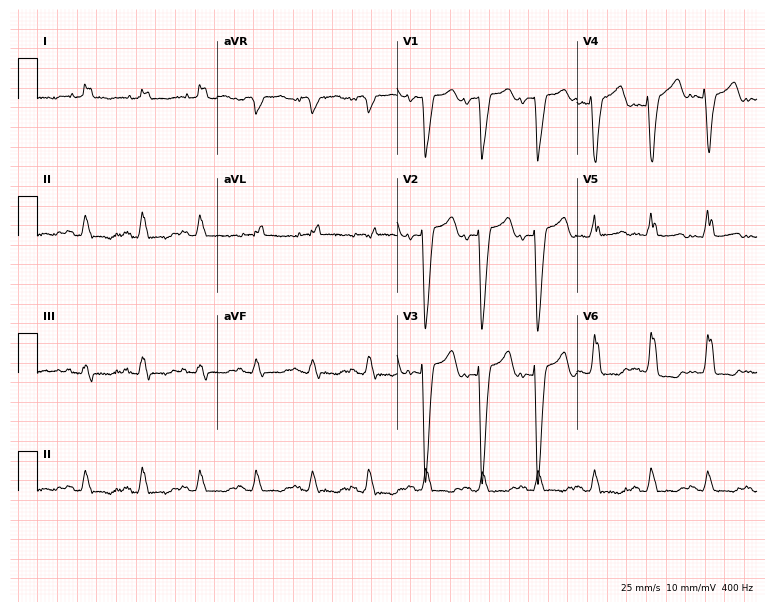
Standard 12-lead ECG recorded from a woman, 80 years old. The tracing shows left bundle branch block, sinus tachycardia (a sinus rate of 100 beats per minute or more).